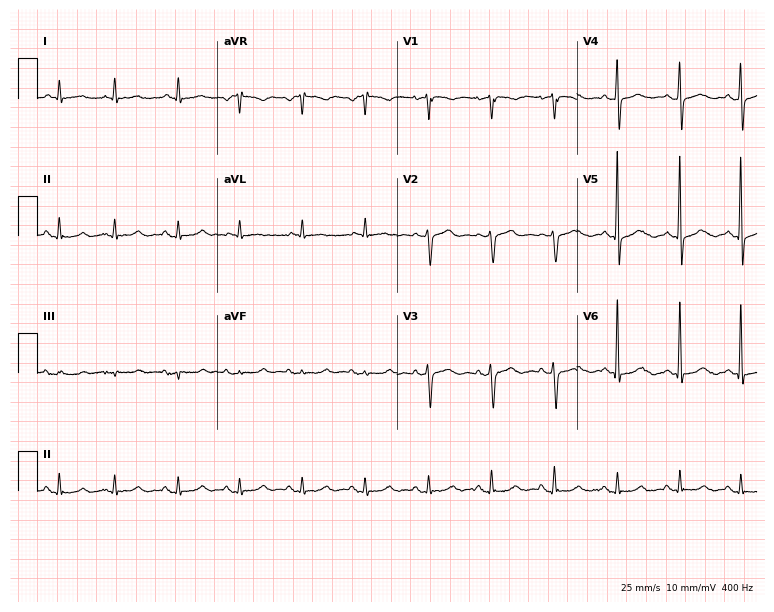
12-lead ECG (7.3-second recording at 400 Hz) from a man, 75 years old. Screened for six findings — first-degree AV block, right bundle branch block, left bundle branch block, sinus bradycardia, atrial fibrillation, sinus tachycardia — none is recorded. Other findings, if any, are not listed.